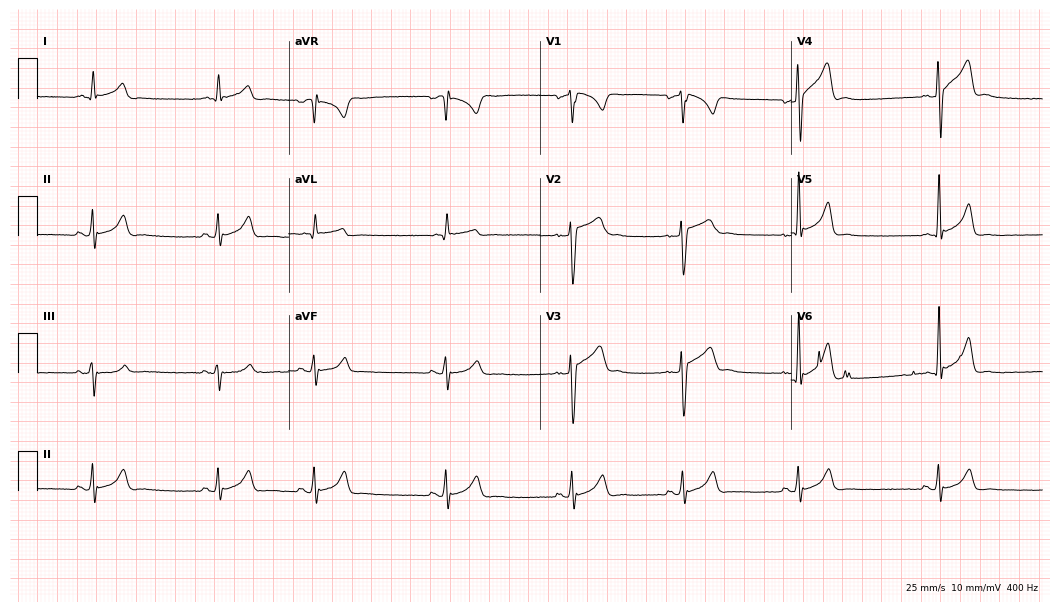
12-lead ECG from a male patient, 32 years old. Findings include sinus bradycardia (a sinus rate of 50 beats per minute or less).